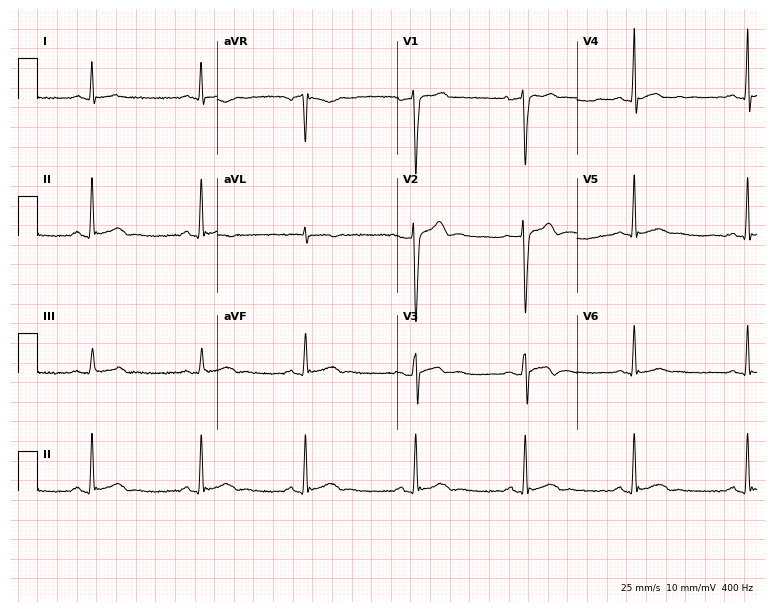
ECG — a male, 33 years old. Labelled as a normal ECG.